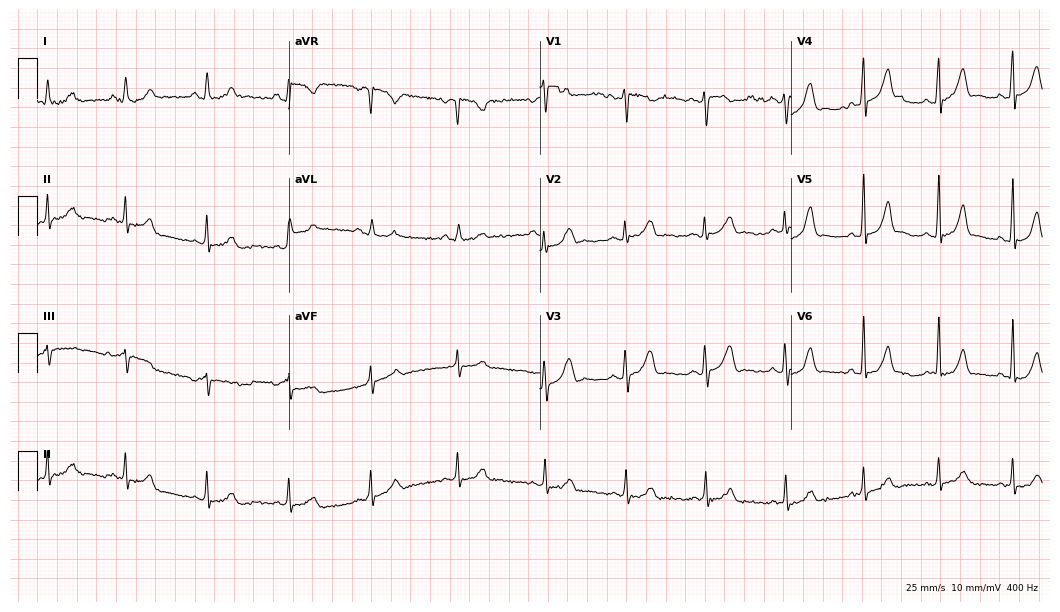
12-lead ECG from a female patient, 18 years old. No first-degree AV block, right bundle branch block, left bundle branch block, sinus bradycardia, atrial fibrillation or sinus tachycardia recorded for this tracing. Only these six findings were labelled.